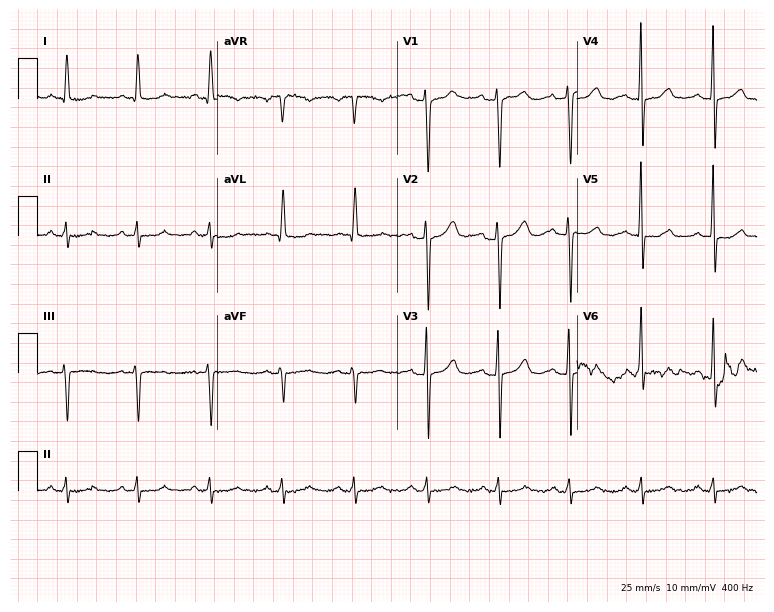
12-lead ECG from a 61-year-old woman (7.3-second recording at 400 Hz). Recorded interpretation: within normal limits.